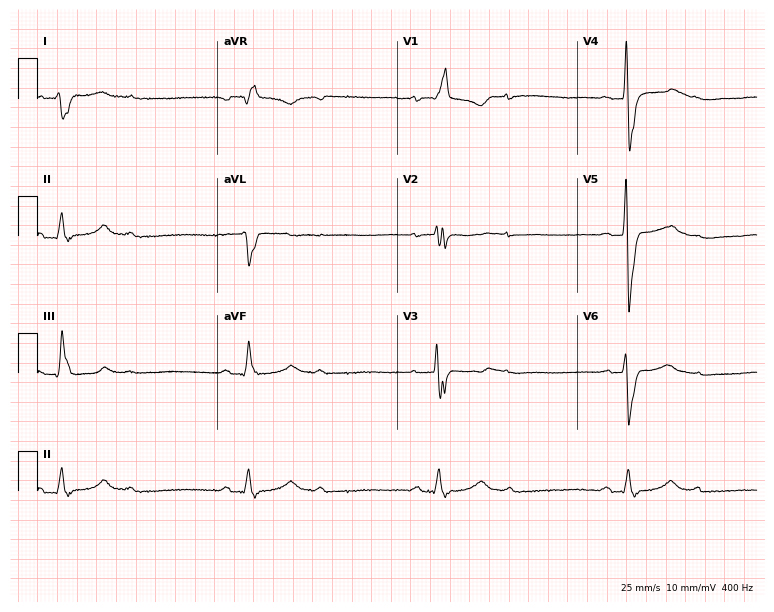
12-lead ECG from a 36-year-old male patient. Shows first-degree AV block, right bundle branch block.